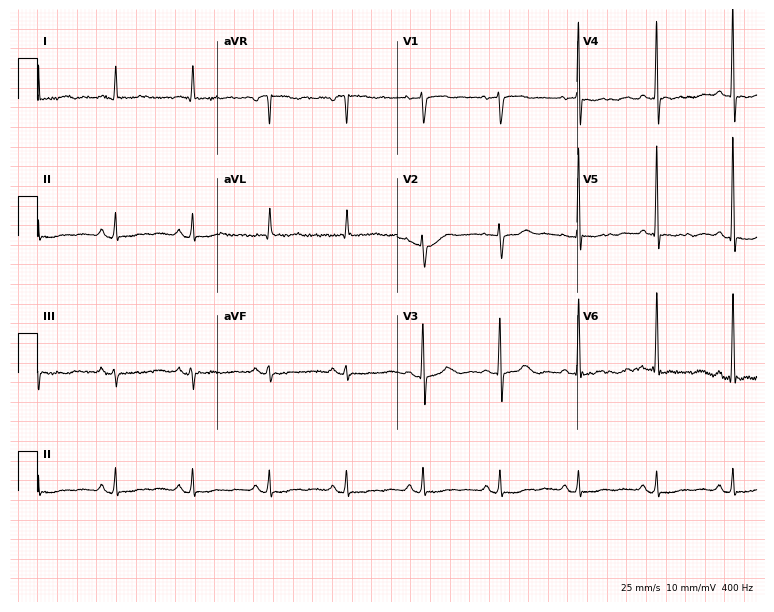
Resting 12-lead electrocardiogram (7.3-second recording at 400 Hz). Patient: an 80-year-old female. None of these six findings is recorded: first-degree AV block, right bundle branch block, left bundle branch block, sinus bradycardia, atrial fibrillation, sinus tachycardia.